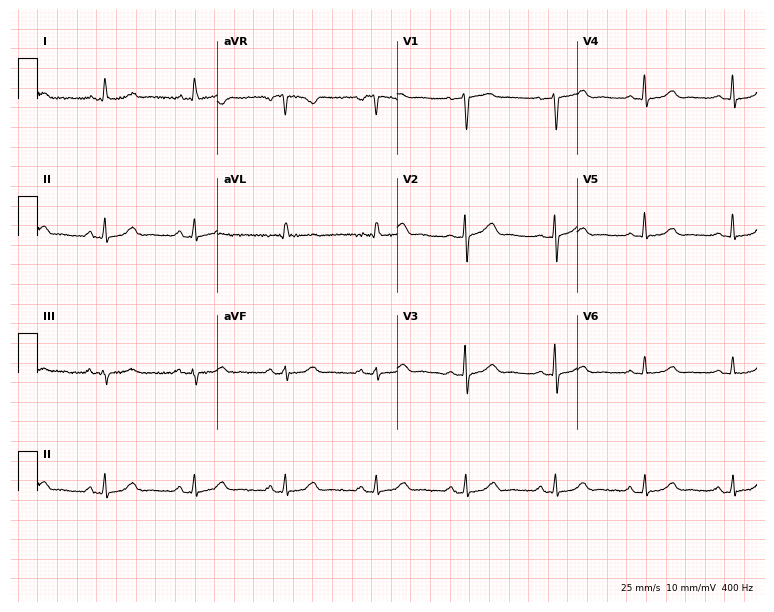
Standard 12-lead ECG recorded from a woman, 74 years old (7.3-second recording at 400 Hz). Read as a normal ECG.